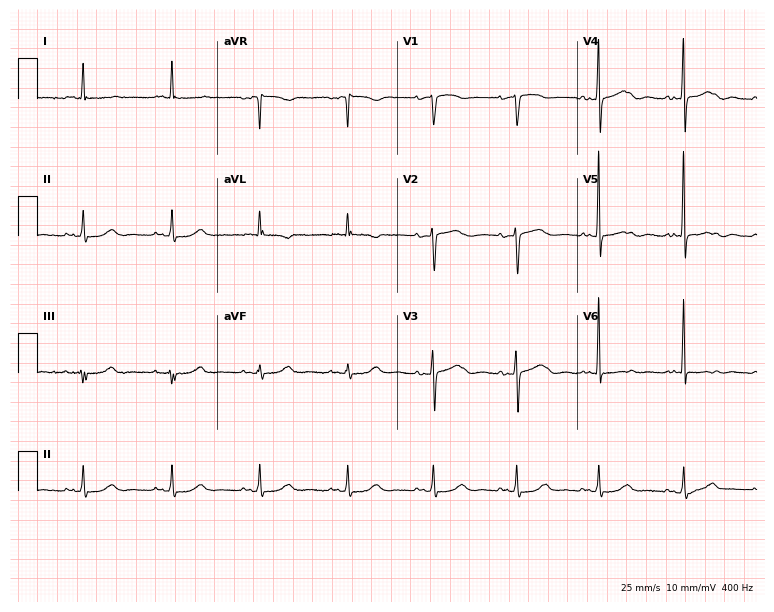
12-lead ECG from an 84-year-old female. No first-degree AV block, right bundle branch block, left bundle branch block, sinus bradycardia, atrial fibrillation or sinus tachycardia recorded for this tracing.